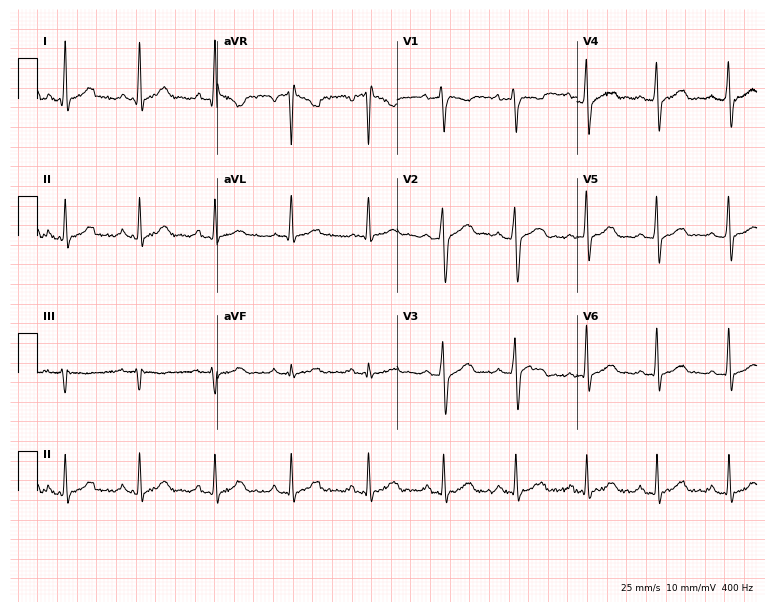
12-lead ECG from a 29-year-old male (7.3-second recording at 400 Hz). No first-degree AV block, right bundle branch block (RBBB), left bundle branch block (LBBB), sinus bradycardia, atrial fibrillation (AF) or sinus tachycardia recorded for this tracing. Only these six findings were labelled.